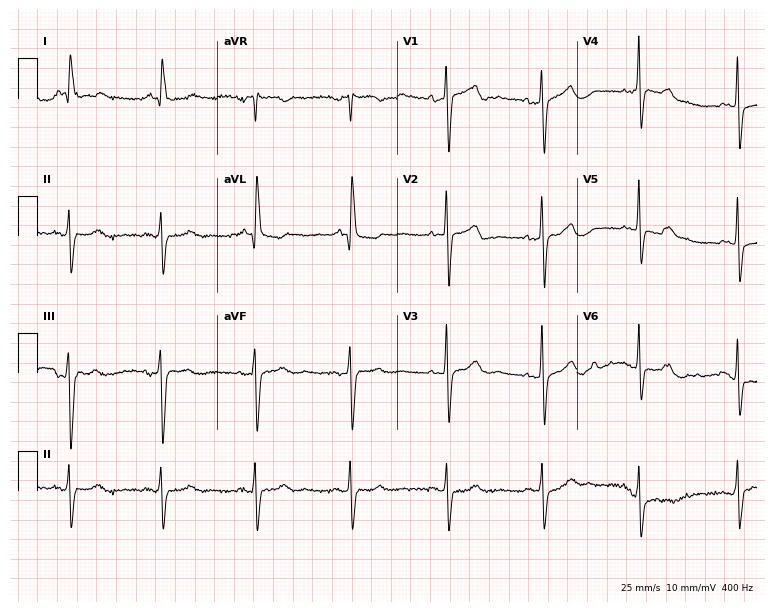
12-lead ECG from a female, 64 years old. Screened for six findings — first-degree AV block, right bundle branch block, left bundle branch block, sinus bradycardia, atrial fibrillation, sinus tachycardia — none is recorded.